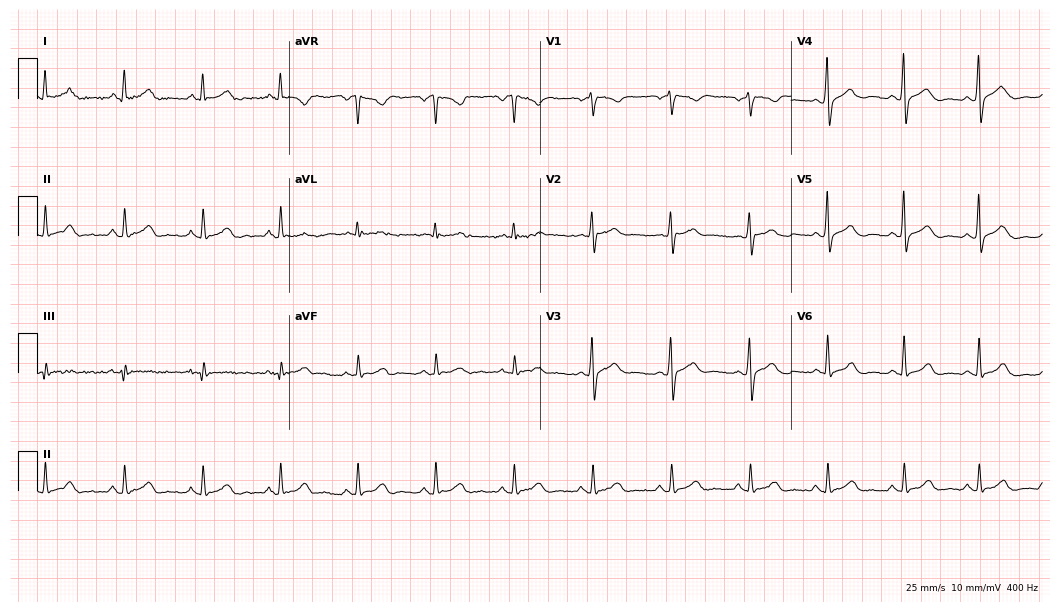
Resting 12-lead electrocardiogram (10.2-second recording at 400 Hz). Patient: a 51-year-old female. Read as a normal ECG.